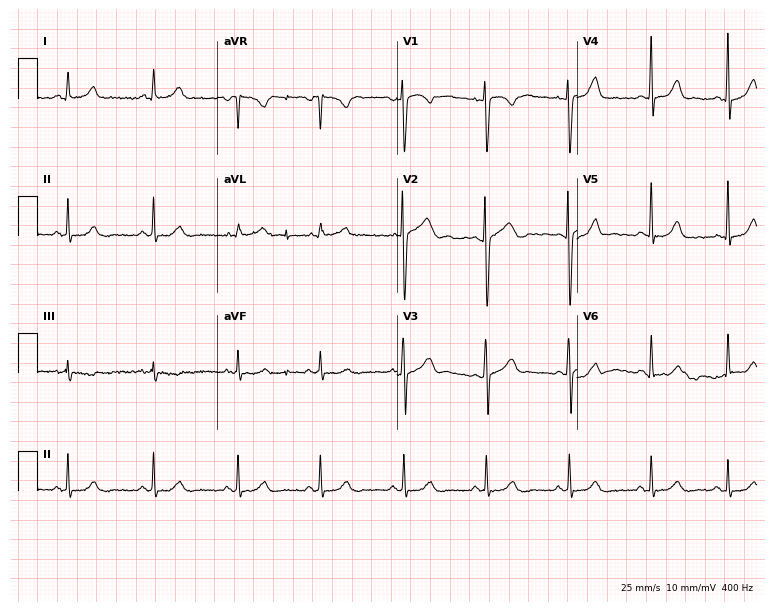
Resting 12-lead electrocardiogram. Patient: a woman, 31 years old. None of these six findings is recorded: first-degree AV block, right bundle branch block, left bundle branch block, sinus bradycardia, atrial fibrillation, sinus tachycardia.